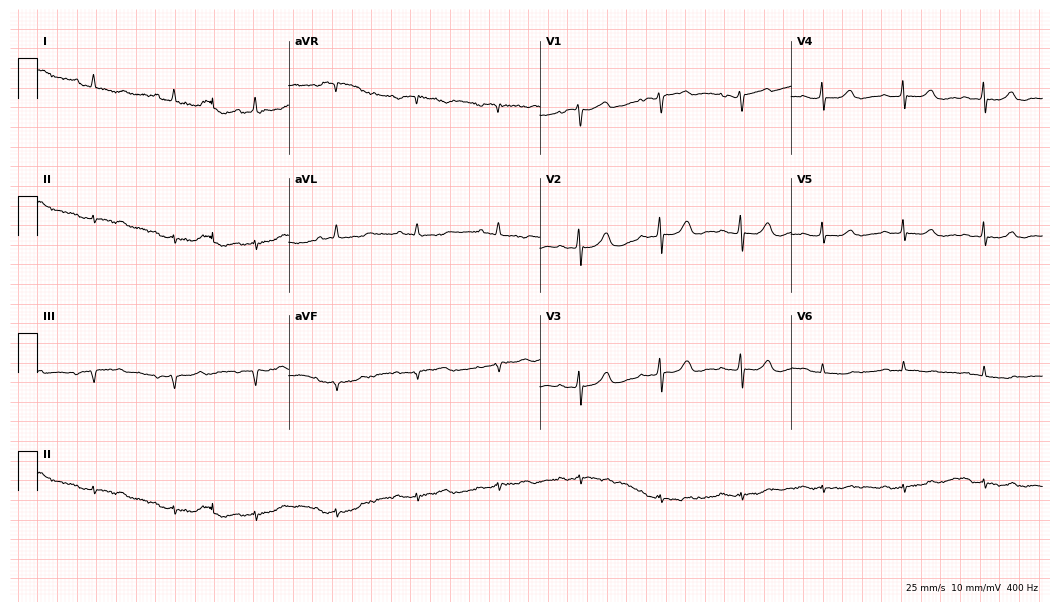
Standard 12-lead ECG recorded from a female, 66 years old (10.2-second recording at 400 Hz). None of these six findings is recorded: first-degree AV block, right bundle branch block (RBBB), left bundle branch block (LBBB), sinus bradycardia, atrial fibrillation (AF), sinus tachycardia.